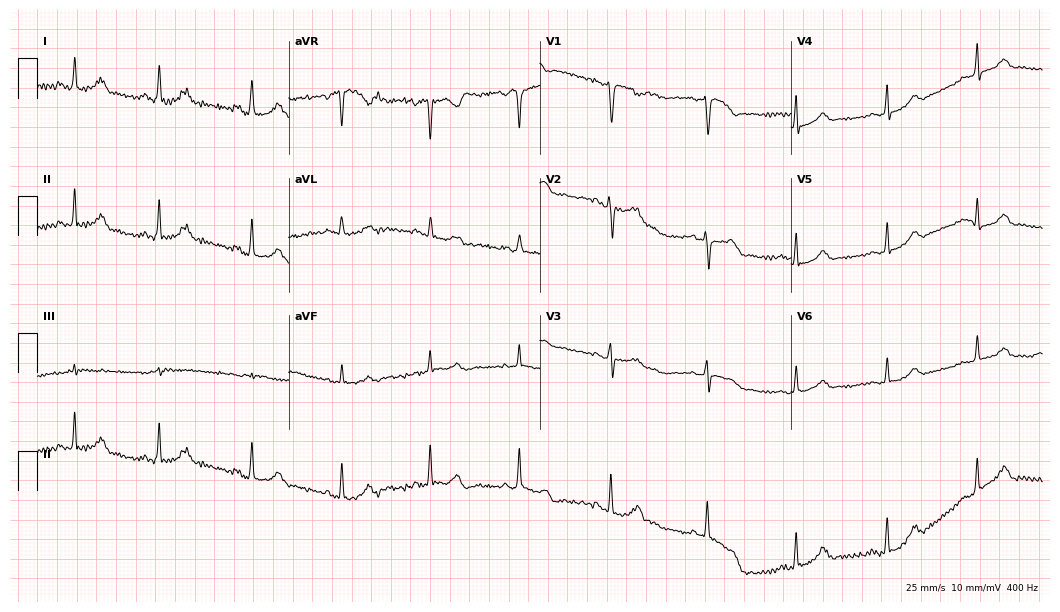
Resting 12-lead electrocardiogram. Patient: a 33-year-old woman. Read as a normal ECG.